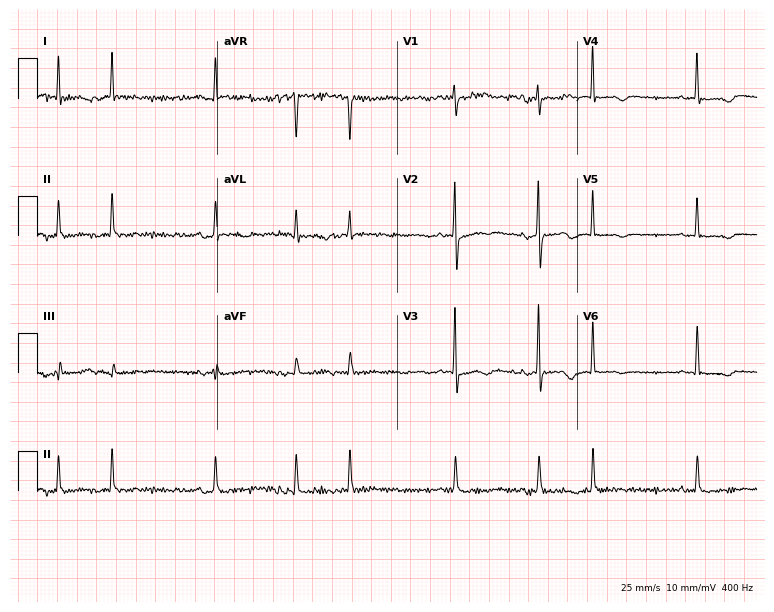
12-lead ECG (7.3-second recording at 400 Hz) from an 85-year-old female patient. Screened for six findings — first-degree AV block, right bundle branch block, left bundle branch block, sinus bradycardia, atrial fibrillation, sinus tachycardia — none is recorded. Findings outside these six are not listed.